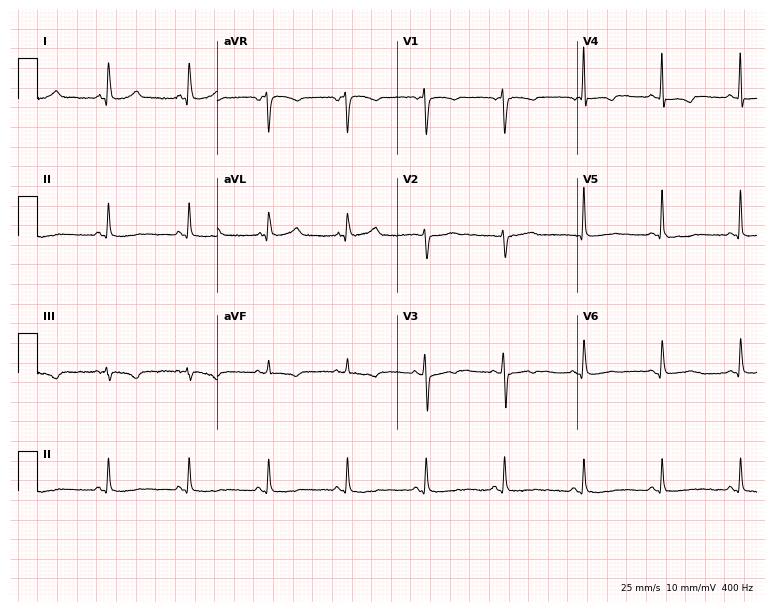
12-lead ECG from a woman, 56 years old. No first-degree AV block, right bundle branch block, left bundle branch block, sinus bradycardia, atrial fibrillation or sinus tachycardia recorded for this tracing.